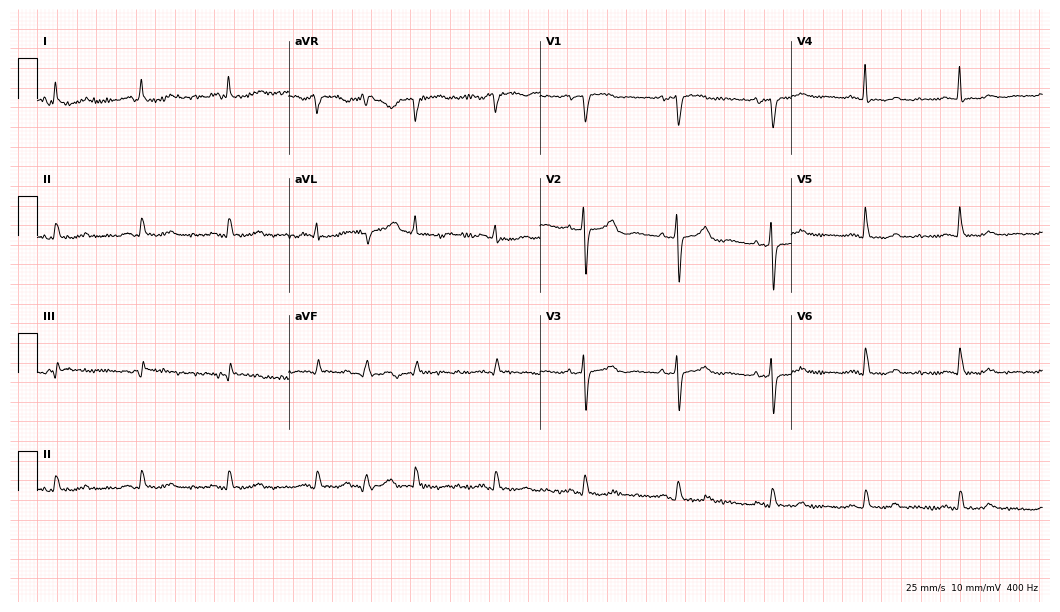
Standard 12-lead ECG recorded from an 84-year-old woman. None of these six findings is recorded: first-degree AV block, right bundle branch block, left bundle branch block, sinus bradycardia, atrial fibrillation, sinus tachycardia. Only these six findings were labelled.